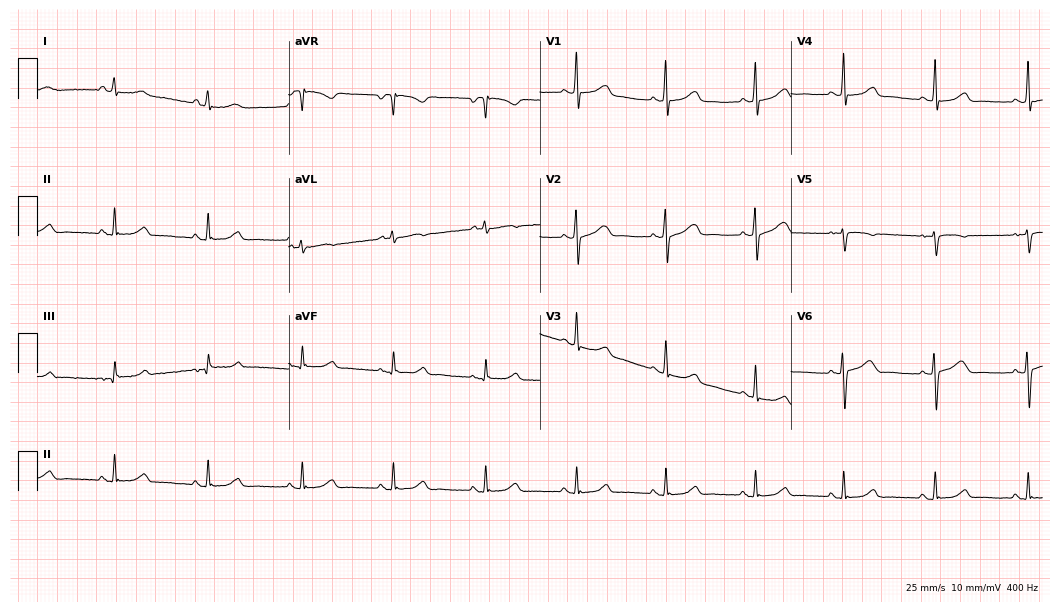
ECG — a 57-year-old female. Screened for six findings — first-degree AV block, right bundle branch block (RBBB), left bundle branch block (LBBB), sinus bradycardia, atrial fibrillation (AF), sinus tachycardia — none is recorded. Other findings, if any, are not listed.